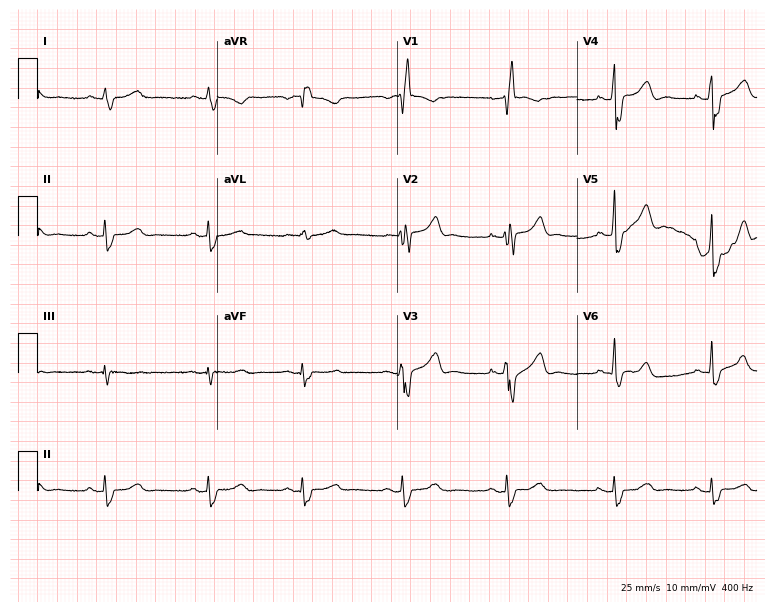
12-lead ECG from a 61-year-old male patient (7.3-second recording at 400 Hz). Shows right bundle branch block.